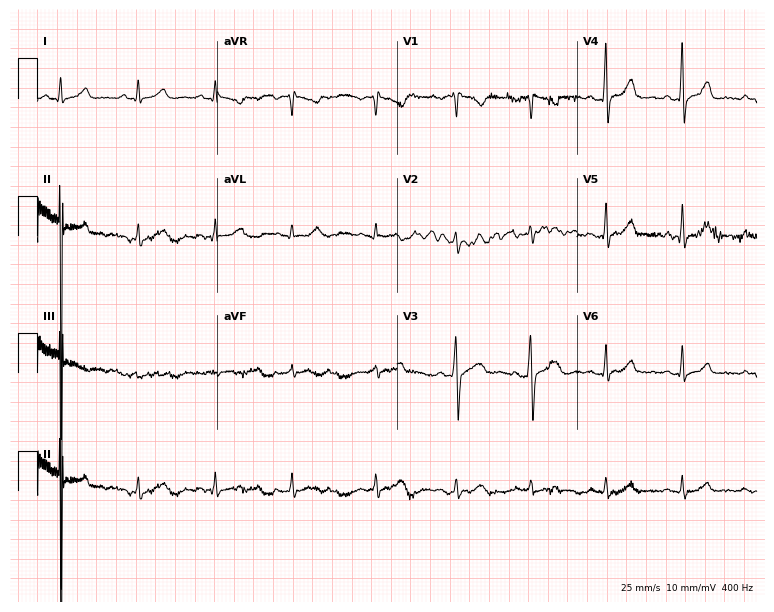
ECG — a 31-year-old man. Screened for six findings — first-degree AV block, right bundle branch block, left bundle branch block, sinus bradycardia, atrial fibrillation, sinus tachycardia — none is recorded.